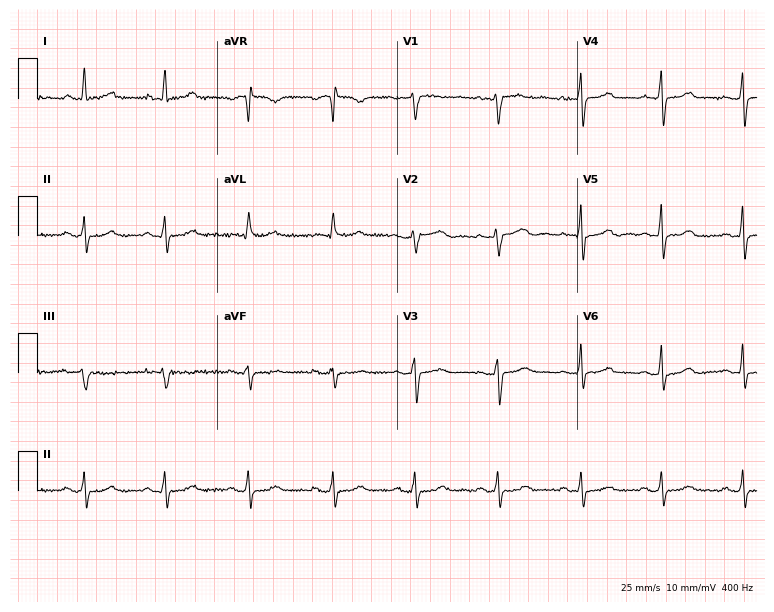
Resting 12-lead electrocardiogram (7.3-second recording at 400 Hz). Patient: a 42-year-old woman. Read as a normal ECG.